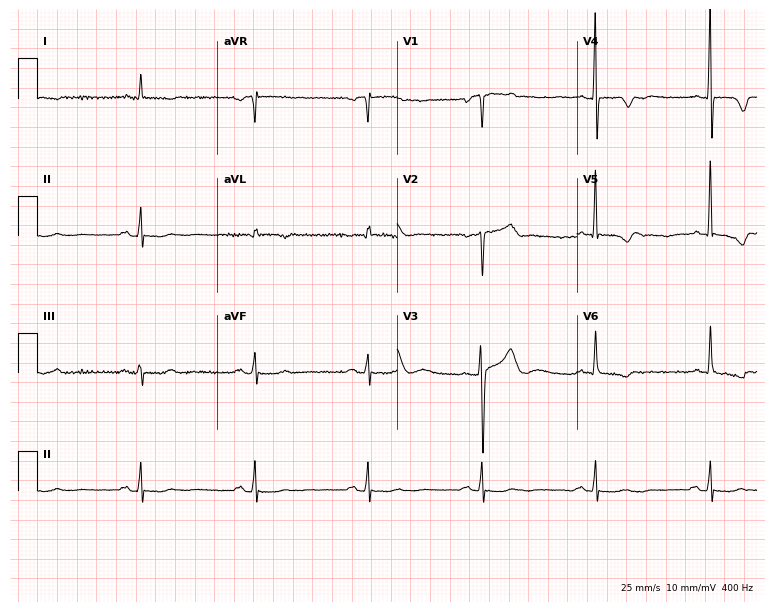
Standard 12-lead ECG recorded from a 63-year-old male (7.3-second recording at 400 Hz). Read as a normal ECG.